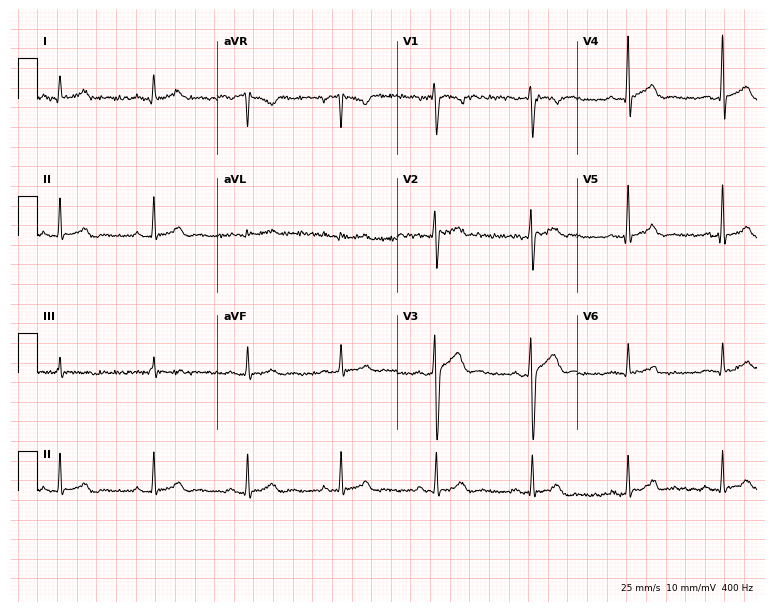
Standard 12-lead ECG recorded from a male, 24 years old (7.3-second recording at 400 Hz). None of these six findings is recorded: first-degree AV block, right bundle branch block, left bundle branch block, sinus bradycardia, atrial fibrillation, sinus tachycardia.